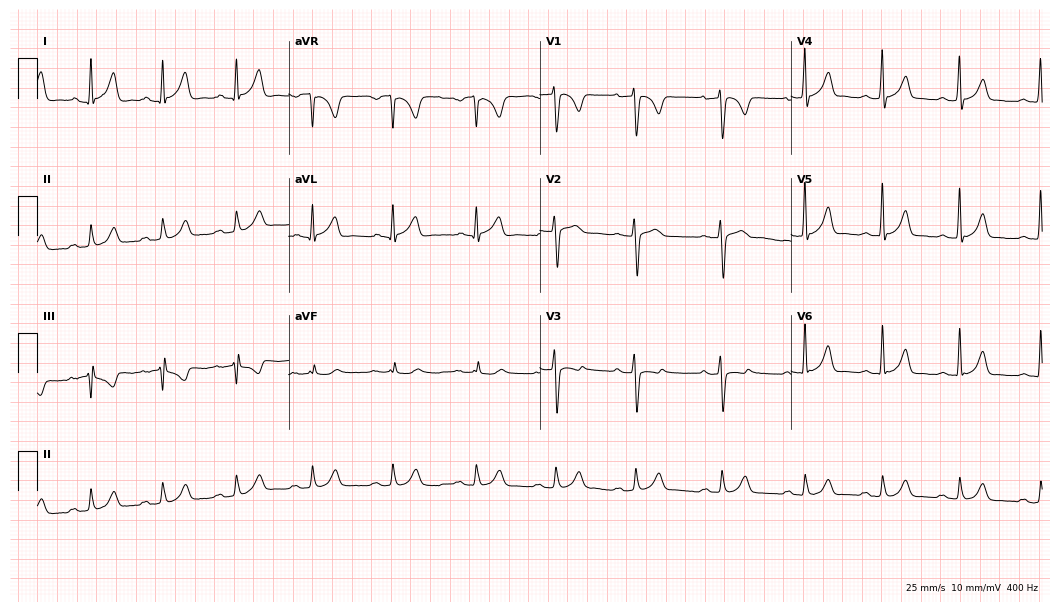
ECG — a 24-year-old man. Labelled as a normal ECG.